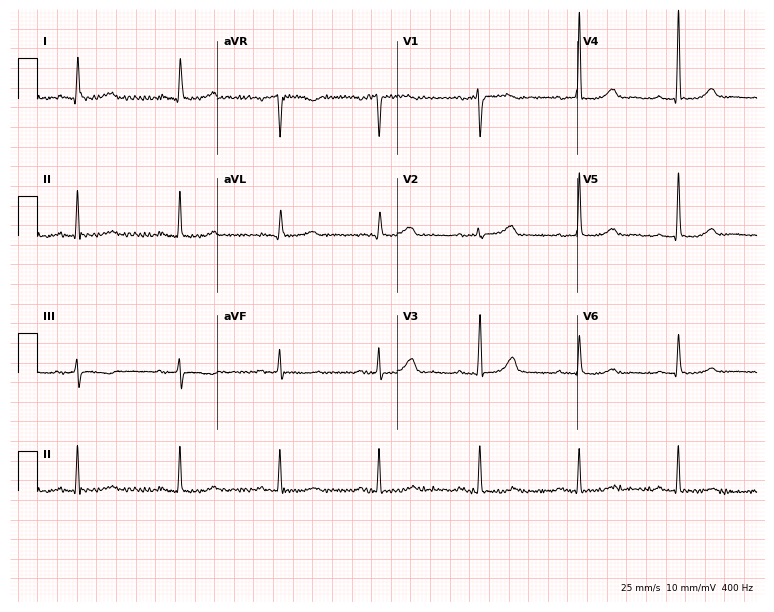
Standard 12-lead ECG recorded from a female, 68 years old (7.3-second recording at 400 Hz). None of these six findings is recorded: first-degree AV block, right bundle branch block, left bundle branch block, sinus bradycardia, atrial fibrillation, sinus tachycardia. Only these six findings were labelled.